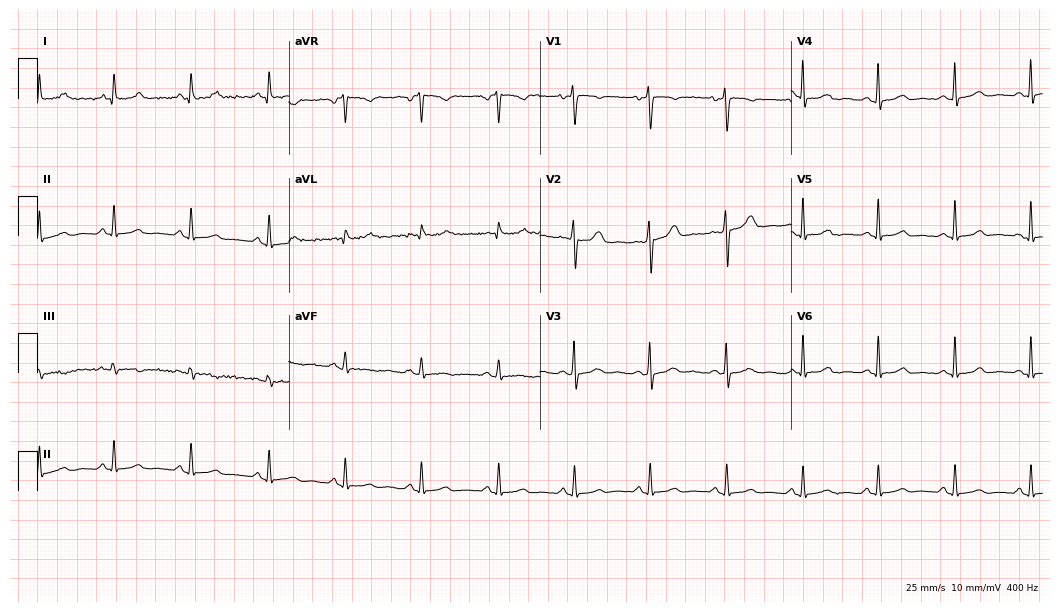
12-lead ECG from a woman, 39 years old (10.2-second recording at 400 Hz). Recorded interpretation: within normal limits.